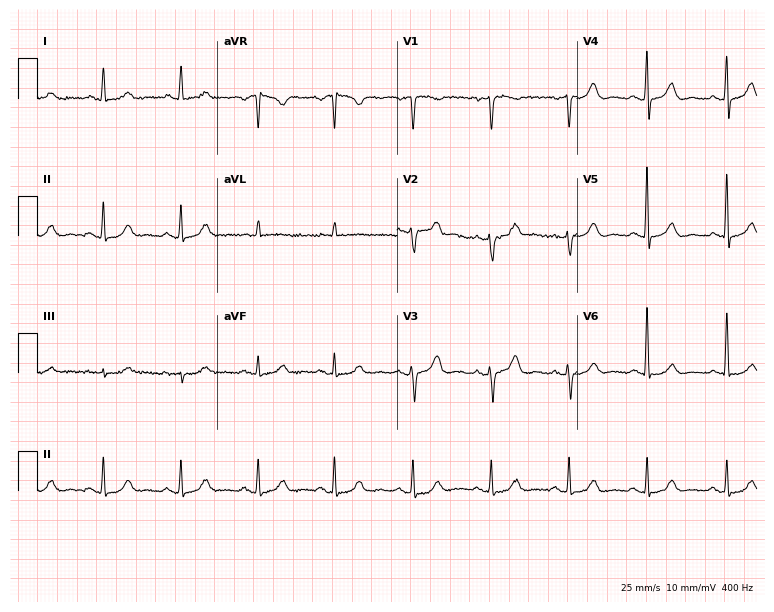
Standard 12-lead ECG recorded from a female, 58 years old (7.3-second recording at 400 Hz). Read as a normal ECG.